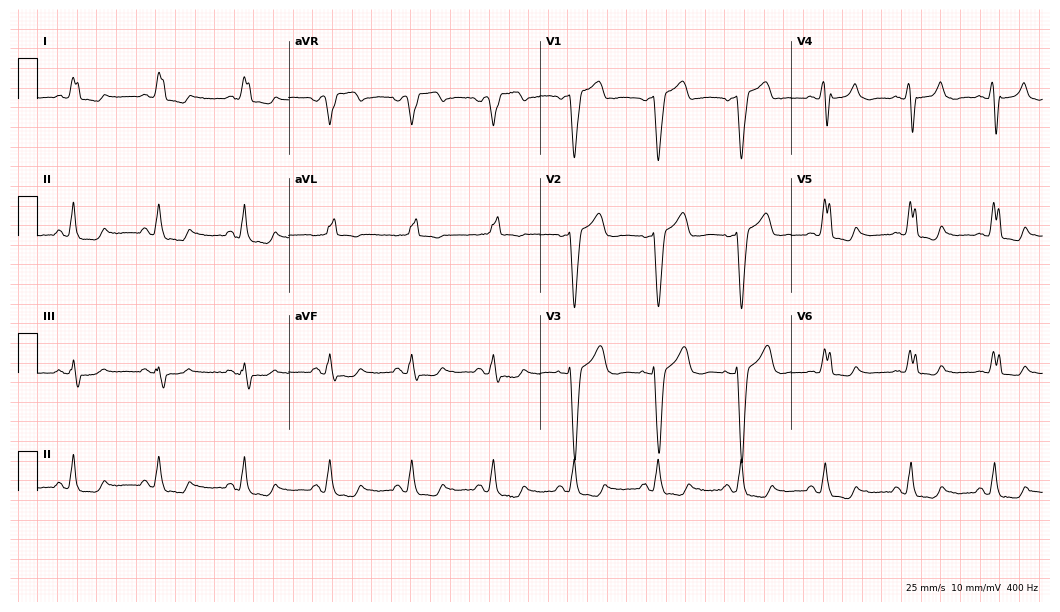
ECG (10.2-second recording at 400 Hz) — a 73-year-old female. Findings include left bundle branch block.